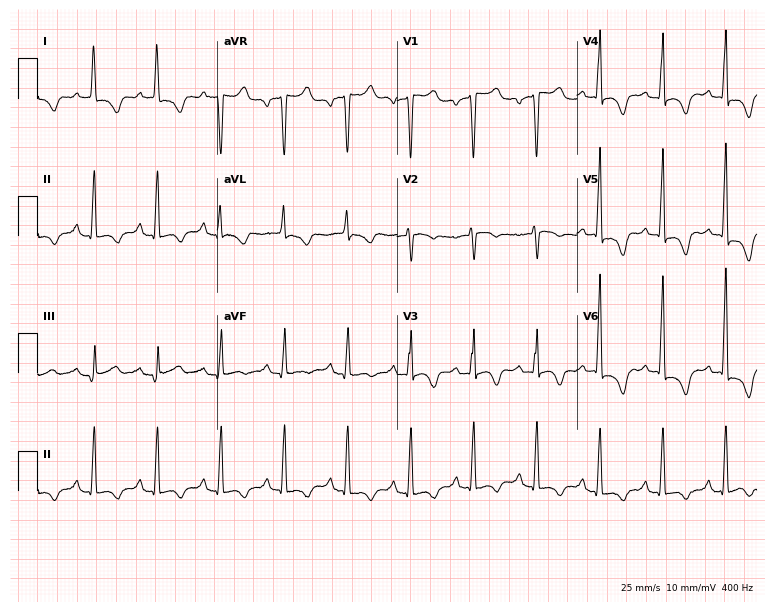
Standard 12-lead ECG recorded from a male, 67 years old (7.3-second recording at 400 Hz). None of these six findings is recorded: first-degree AV block, right bundle branch block (RBBB), left bundle branch block (LBBB), sinus bradycardia, atrial fibrillation (AF), sinus tachycardia.